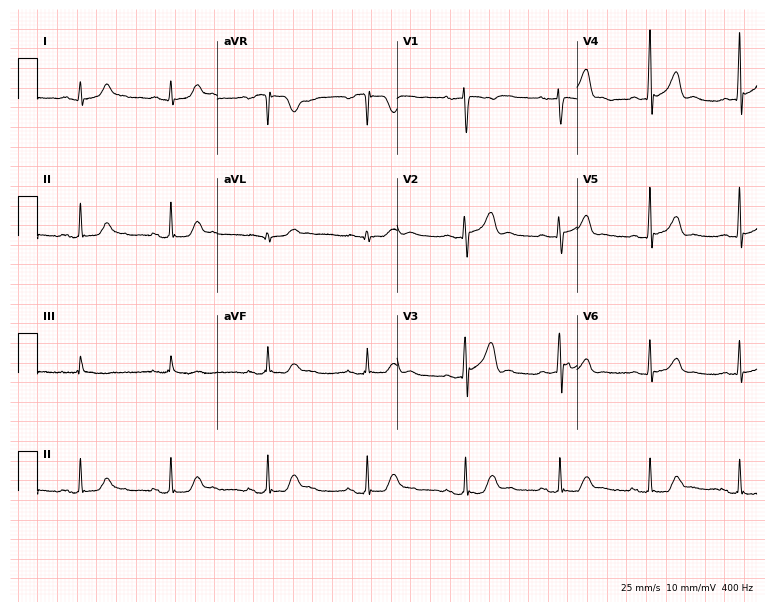
12-lead ECG from a man, 24 years old. No first-degree AV block, right bundle branch block, left bundle branch block, sinus bradycardia, atrial fibrillation or sinus tachycardia recorded for this tracing. Only these six findings were labelled.